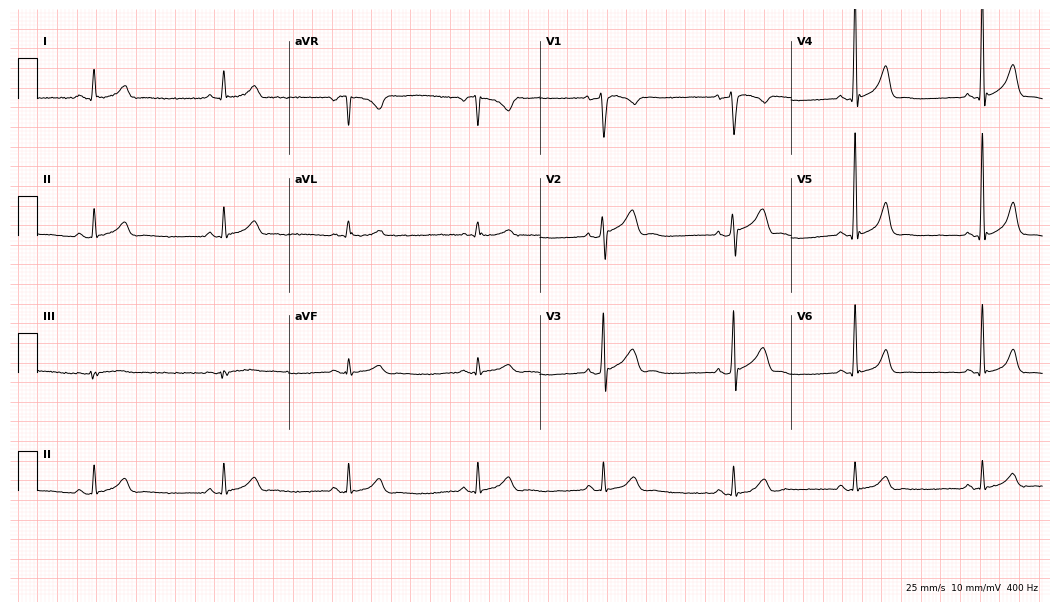
12-lead ECG from a man, 38 years old. Shows sinus bradycardia (a sinus rate of 50 beats per minute or less).